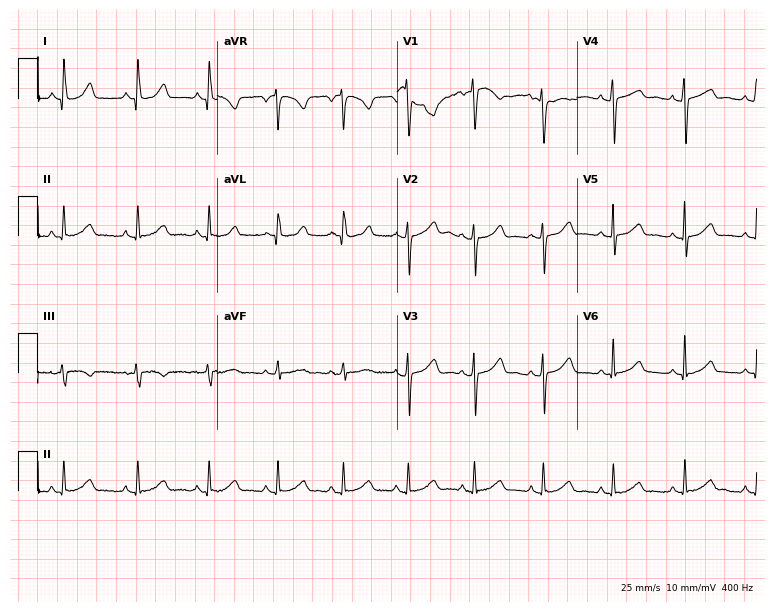
Resting 12-lead electrocardiogram. Patient: a 27-year-old female. Read as a normal ECG.